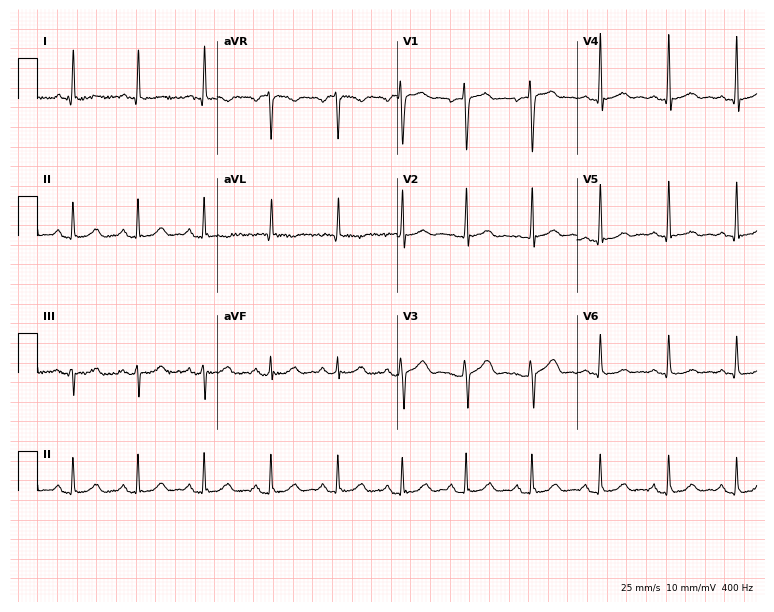
ECG (7.3-second recording at 400 Hz) — a woman, 52 years old. Screened for six findings — first-degree AV block, right bundle branch block (RBBB), left bundle branch block (LBBB), sinus bradycardia, atrial fibrillation (AF), sinus tachycardia — none is recorded.